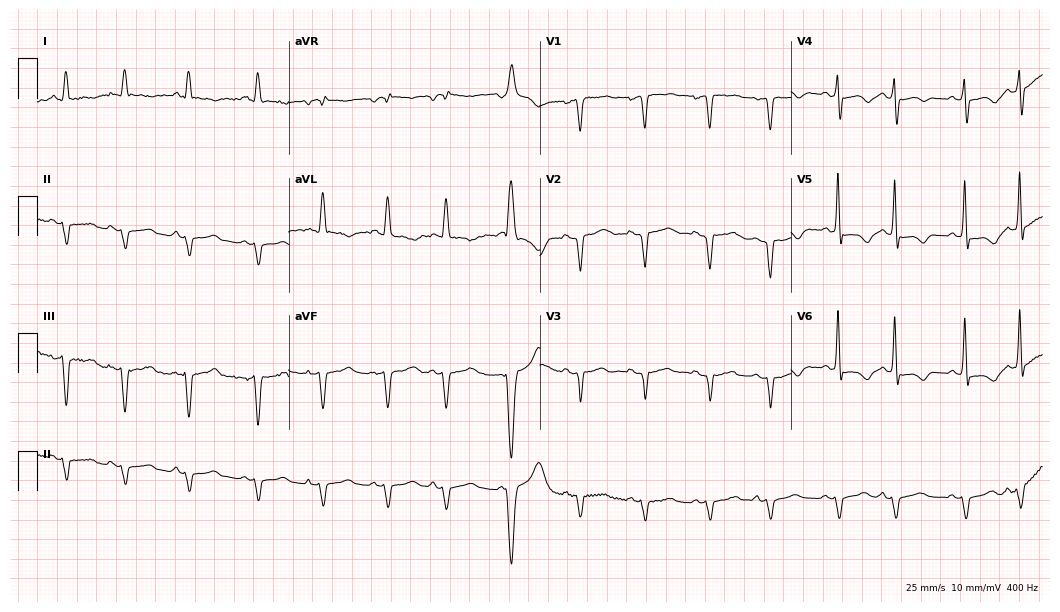
12-lead ECG from a woman, 82 years old. Screened for six findings — first-degree AV block, right bundle branch block, left bundle branch block, sinus bradycardia, atrial fibrillation, sinus tachycardia — none is recorded.